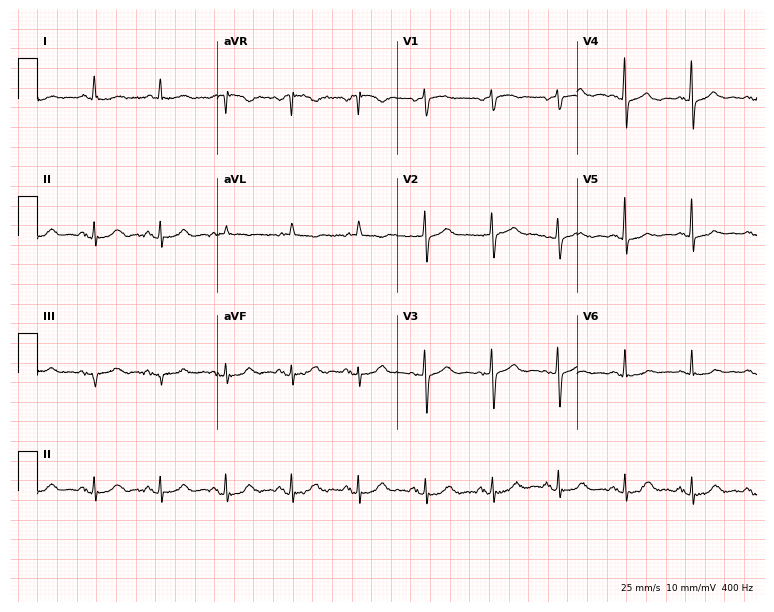
ECG (7.3-second recording at 400 Hz) — a female, 73 years old. Labelled as a normal ECG.